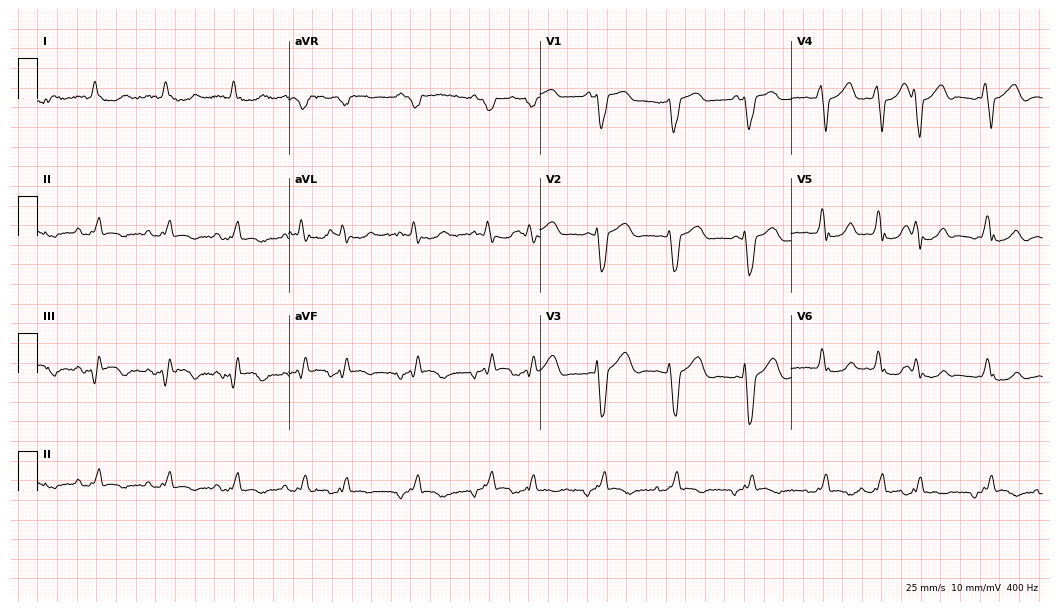
12-lead ECG from a woman, 76 years old (10.2-second recording at 400 Hz). No first-degree AV block, right bundle branch block, left bundle branch block, sinus bradycardia, atrial fibrillation or sinus tachycardia recorded for this tracing.